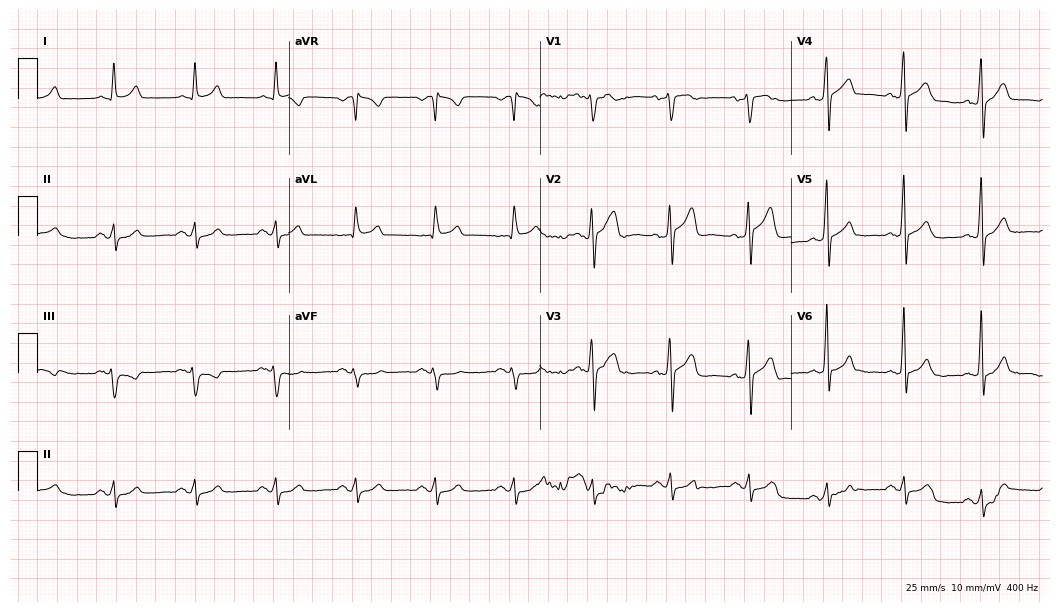
Standard 12-lead ECG recorded from a male patient, 58 years old. Read as a normal ECG.